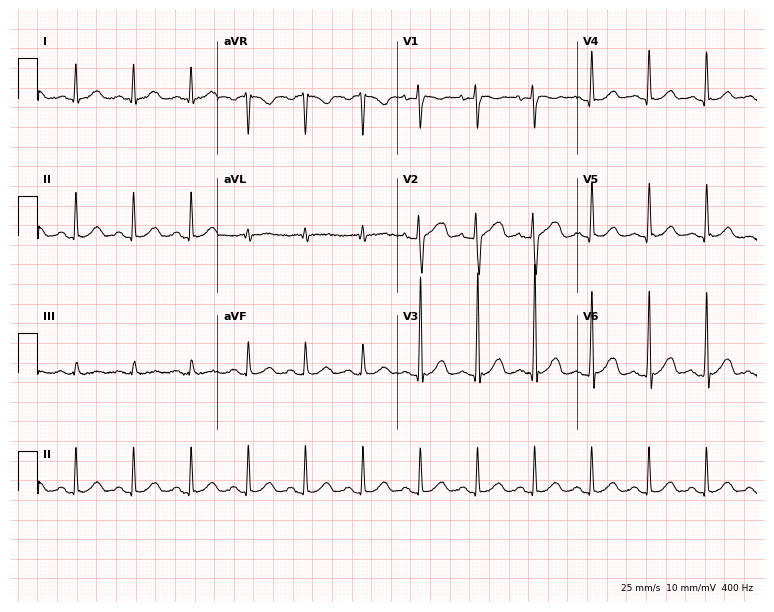
Resting 12-lead electrocardiogram (7.3-second recording at 400 Hz). Patient: a 76-year-old woman. The tracing shows sinus tachycardia (a sinus rate of 100 beats per minute or more).